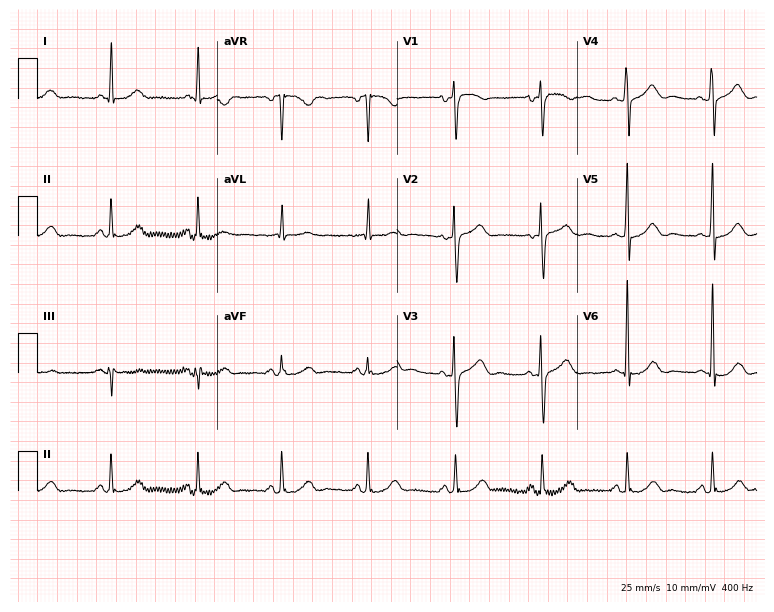
Resting 12-lead electrocardiogram. Patient: a female, 66 years old. None of these six findings is recorded: first-degree AV block, right bundle branch block, left bundle branch block, sinus bradycardia, atrial fibrillation, sinus tachycardia. Other findings, if any, are not listed.